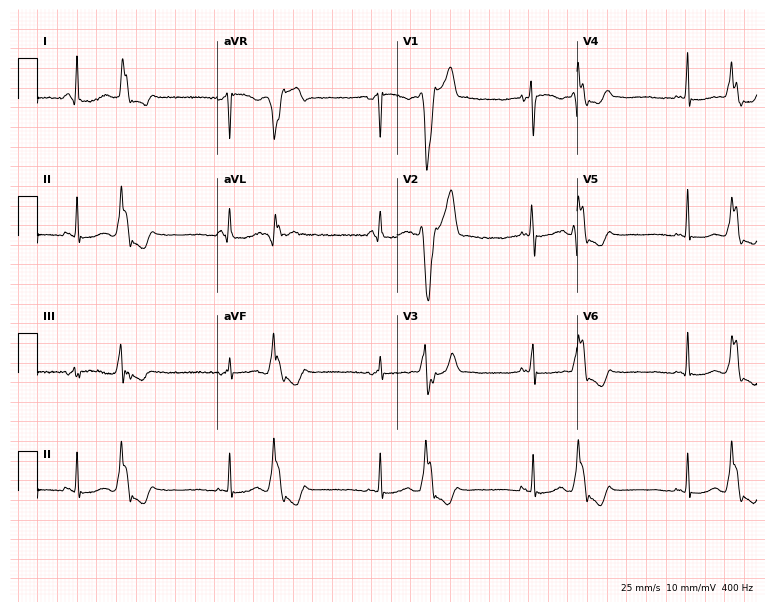
12-lead ECG from a woman, 55 years old. Screened for six findings — first-degree AV block, right bundle branch block (RBBB), left bundle branch block (LBBB), sinus bradycardia, atrial fibrillation (AF), sinus tachycardia — none is recorded.